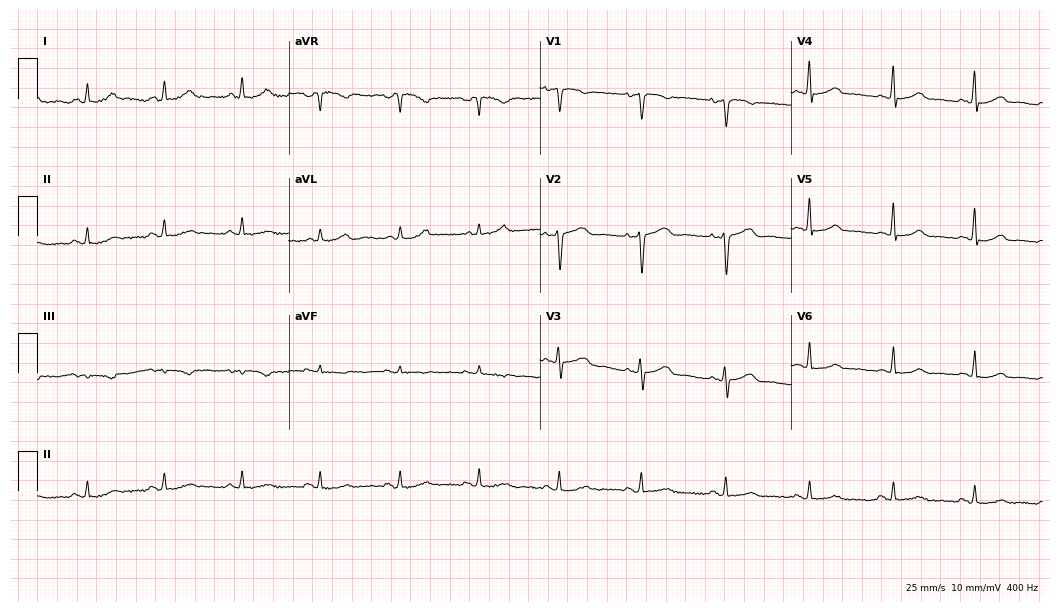
12-lead ECG from a 49-year-old man. Recorded interpretation: within normal limits.